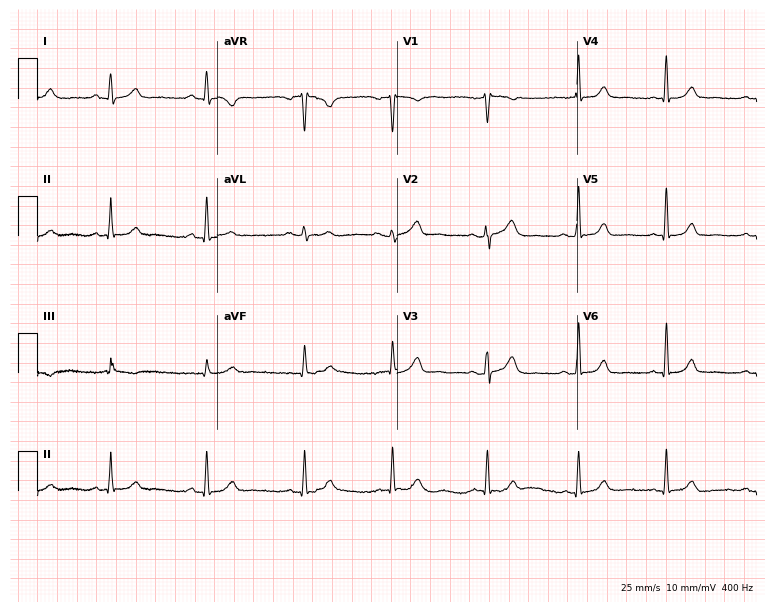
Electrocardiogram (7.3-second recording at 400 Hz), a 48-year-old woman. Of the six screened findings (first-degree AV block, right bundle branch block (RBBB), left bundle branch block (LBBB), sinus bradycardia, atrial fibrillation (AF), sinus tachycardia), none is recorded.